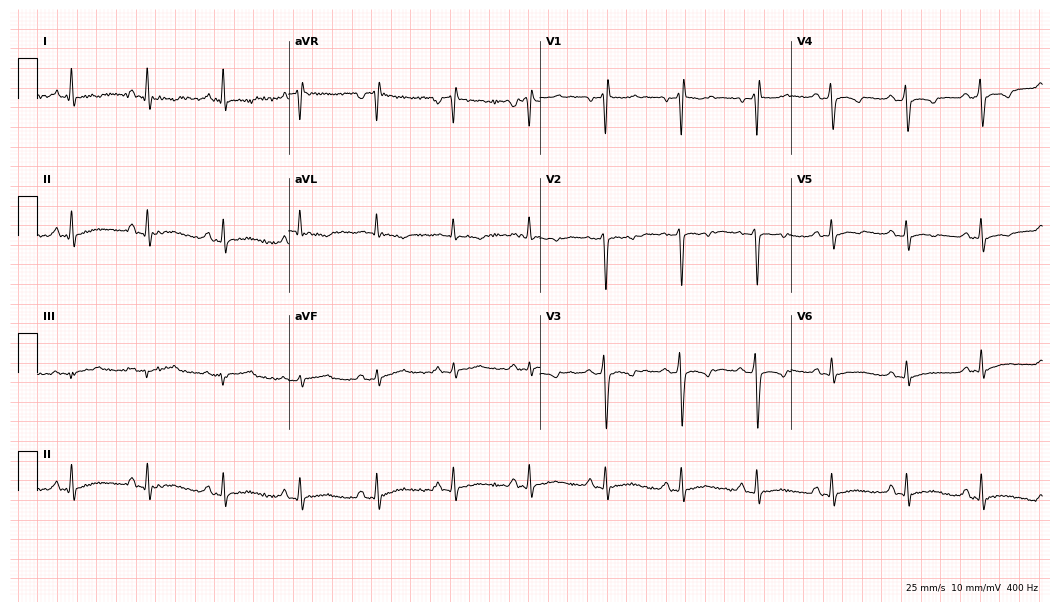
Electrocardiogram (10.2-second recording at 400 Hz), a male, 40 years old. Of the six screened findings (first-degree AV block, right bundle branch block, left bundle branch block, sinus bradycardia, atrial fibrillation, sinus tachycardia), none is recorded. Other findings, if any, are not listed.